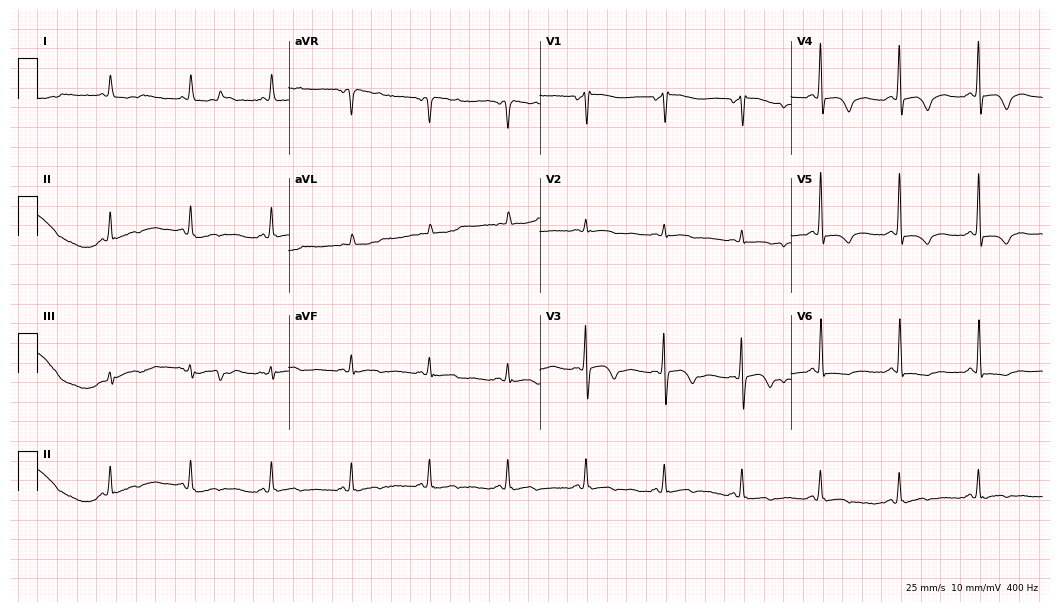
Resting 12-lead electrocardiogram. Patient: a female, 48 years old. None of these six findings is recorded: first-degree AV block, right bundle branch block, left bundle branch block, sinus bradycardia, atrial fibrillation, sinus tachycardia.